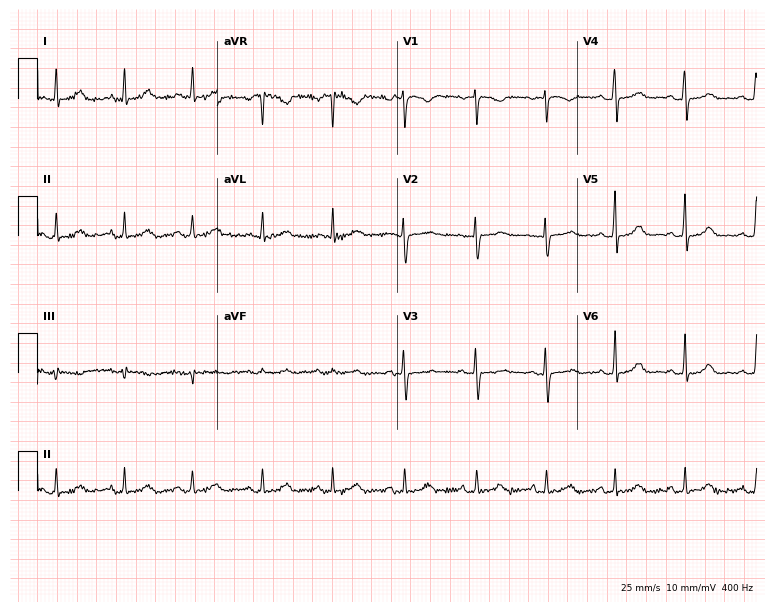
12-lead ECG (7.3-second recording at 400 Hz) from a 36-year-old female patient. Labelled as a normal ECG.